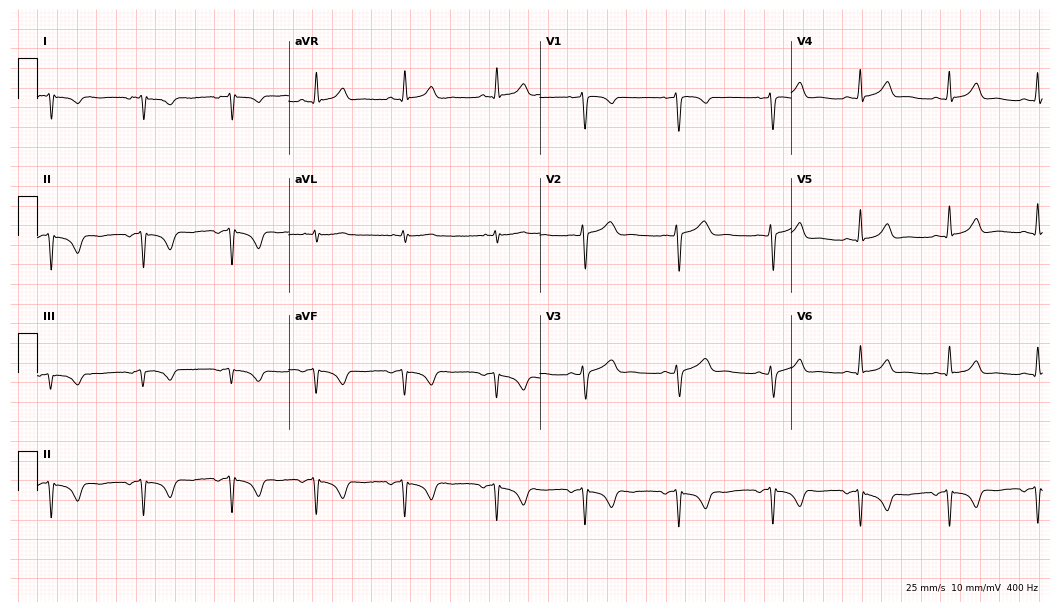
ECG (10.2-second recording at 400 Hz) — a 36-year-old female. Screened for six findings — first-degree AV block, right bundle branch block, left bundle branch block, sinus bradycardia, atrial fibrillation, sinus tachycardia — none is recorded. Other findings, if any, are not listed.